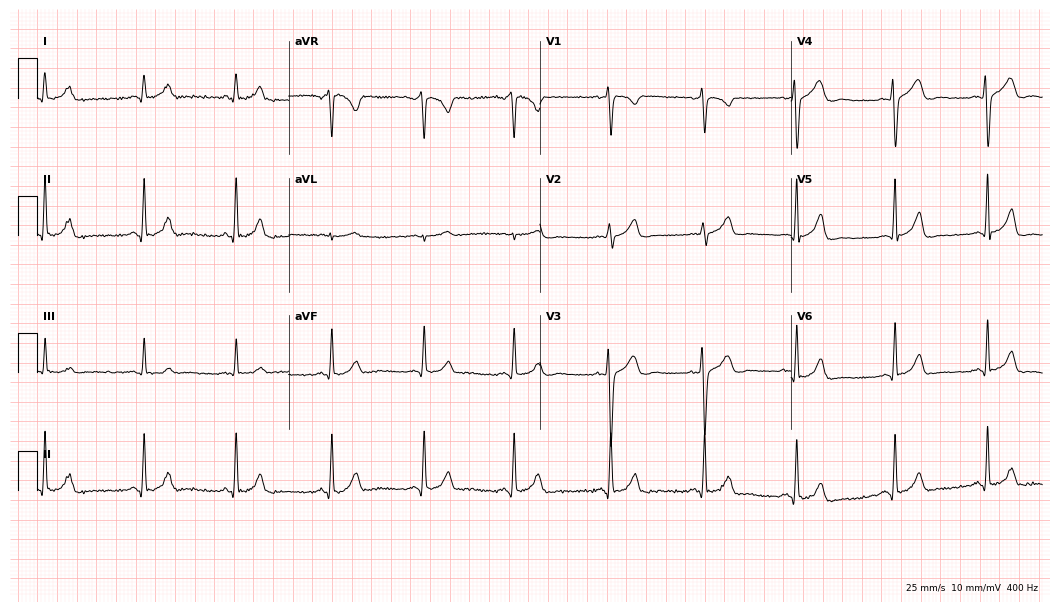
12-lead ECG from a 19-year-old woman. Recorded interpretation: within normal limits.